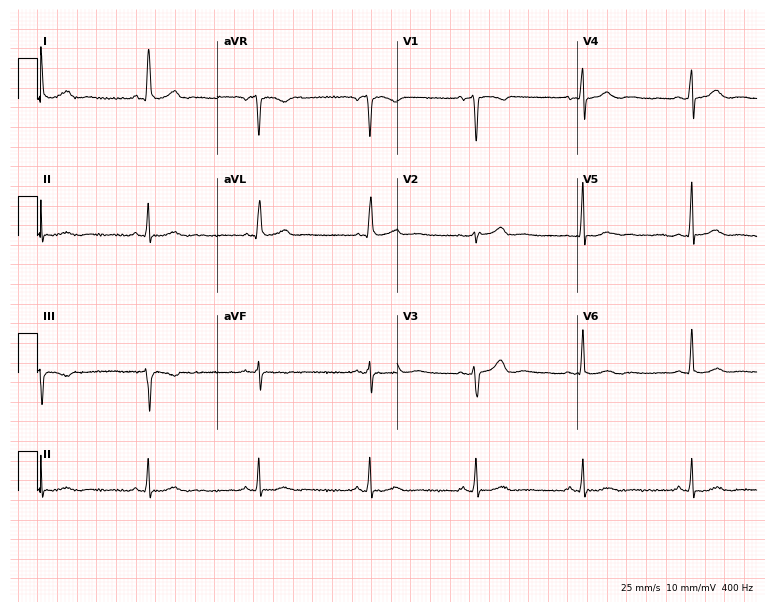
12-lead ECG (7.3-second recording at 400 Hz) from a 59-year-old woman. Labelled as a normal ECG.